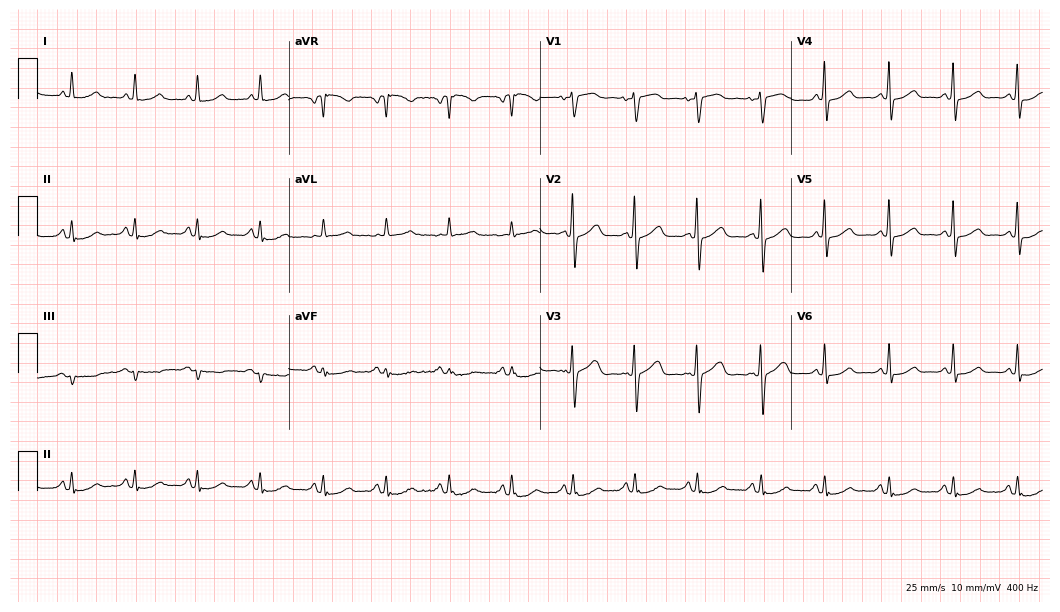
12-lead ECG from an 86-year-old woman. Labelled as a normal ECG.